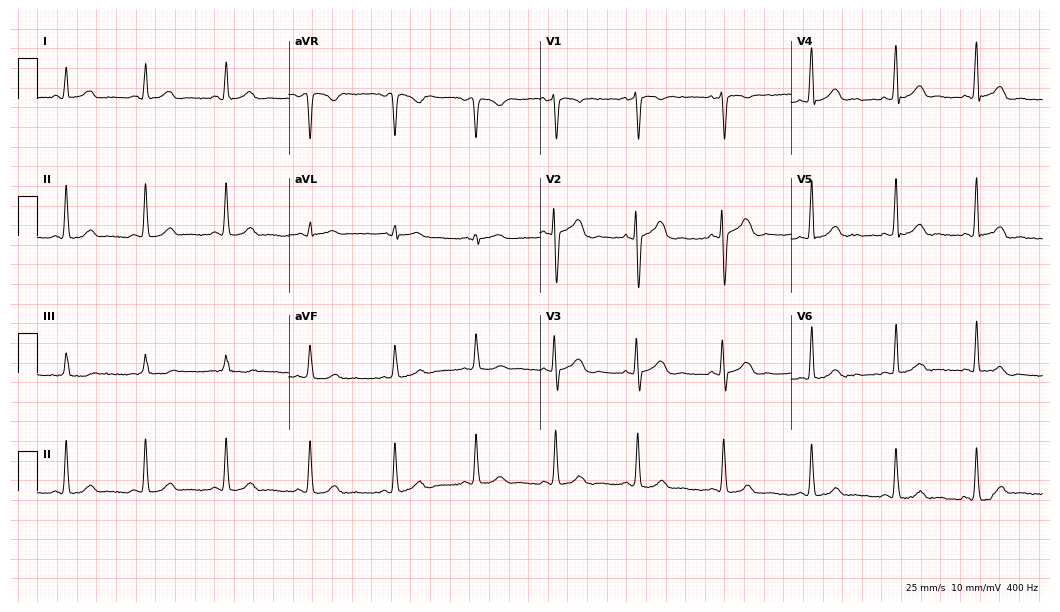
12-lead ECG from a 33-year-old woman. Labelled as a normal ECG.